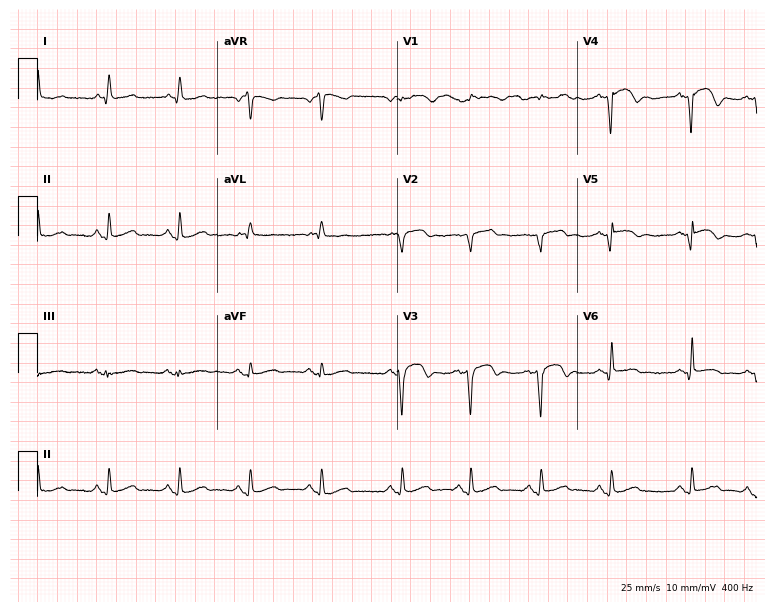
12-lead ECG from a man, 58 years old. Screened for six findings — first-degree AV block, right bundle branch block (RBBB), left bundle branch block (LBBB), sinus bradycardia, atrial fibrillation (AF), sinus tachycardia — none is recorded. Other findings, if any, are not listed.